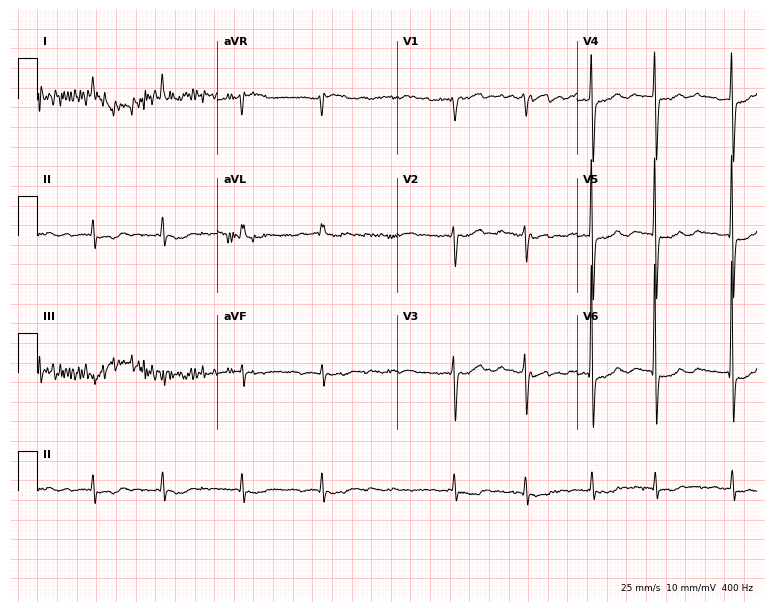
12-lead ECG from an 80-year-old woman. No first-degree AV block, right bundle branch block, left bundle branch block, sinus bradycardia, atrial fibrillation or sinus tachycardia recorded for this tracing.